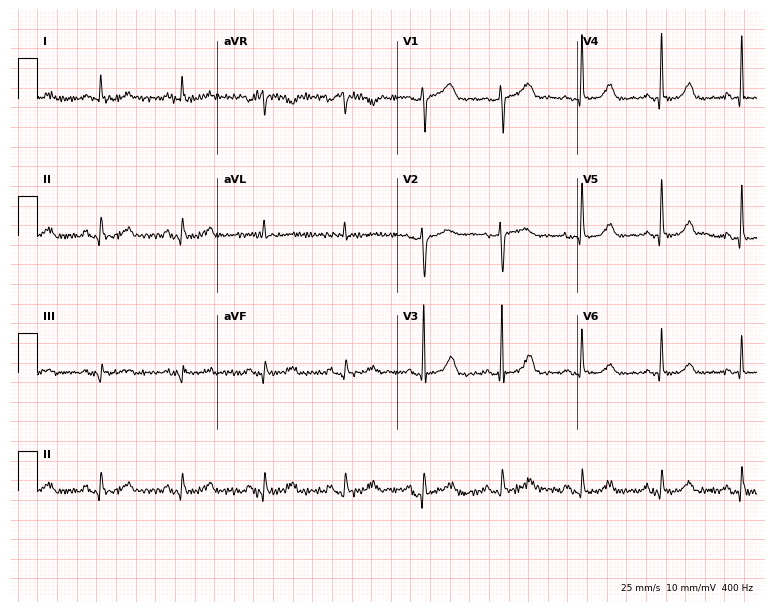
Electrocardiogram, a 64-year-old female. Of the six screened findings (first-degree AV block, right bundle branch block, left bundle branch block, sinus bradycardia, atrial fibrillation, sinus tachycardia), none is recorded. Findings outside these six are not listed.